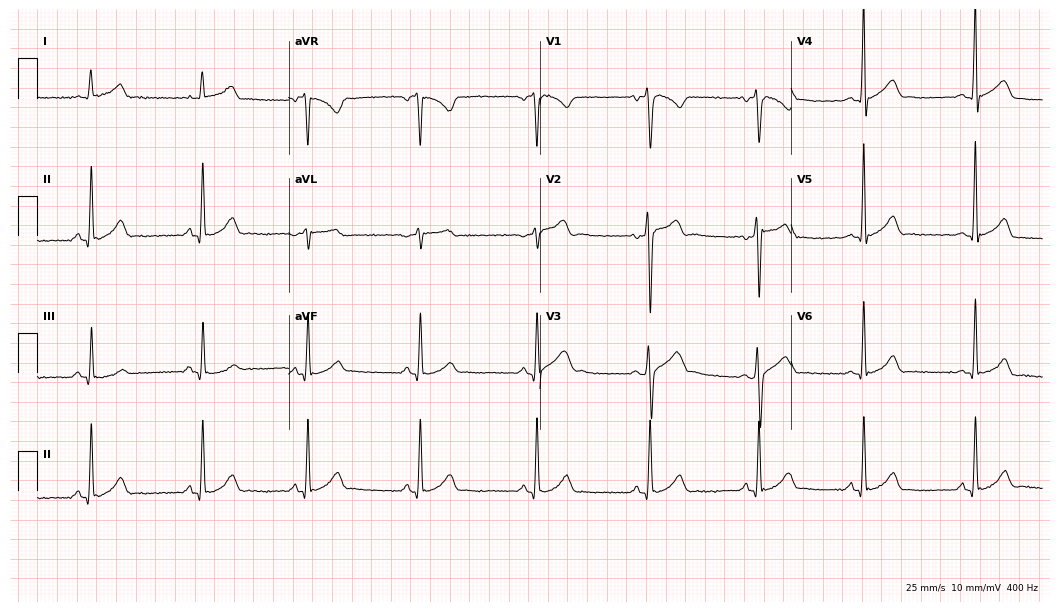
Electrocardiogram (10.2-second recording at 400 Hz), a 24-year-old male patient. Overall reading on record: normal ECG.